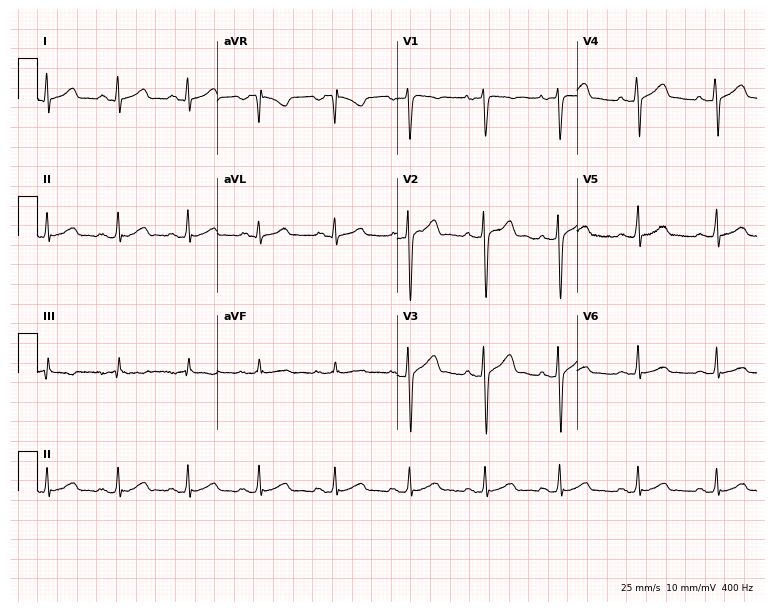
ECG (7.3-second recording at 400 Hz) — a man, 22 years old. Labelled as a normal ECG.